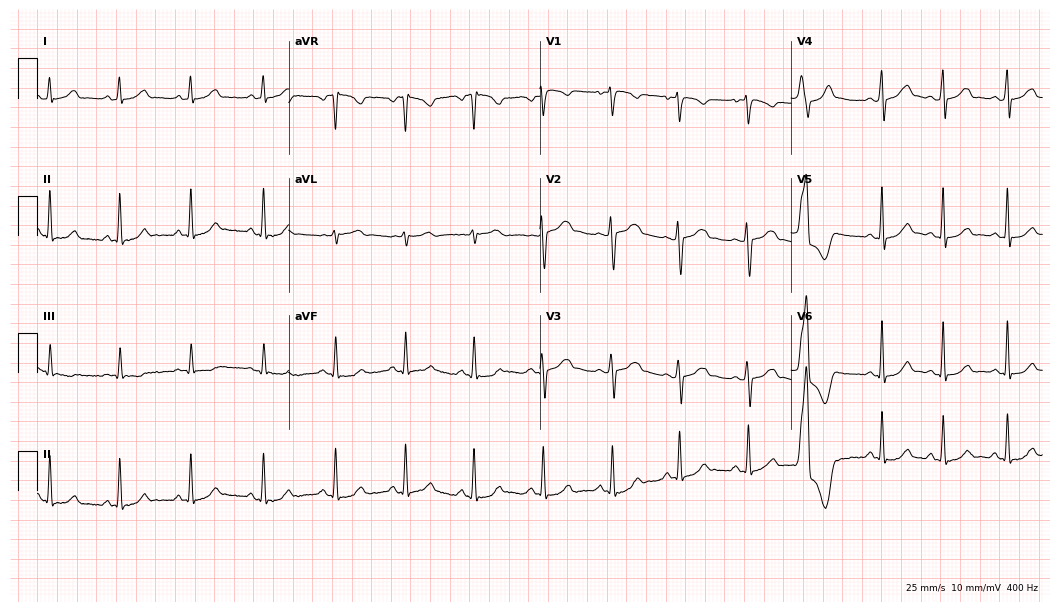
12-lead ECG from a 30-year-old female (10.2-second recording at 400 Hz). No first-degree AV block, right bundle branch block (RBBB), left bundle branch block (LBBB), sinus bradycardia, atrial fibrillation (AF) or sinus tachycardia recorded for this tracing.